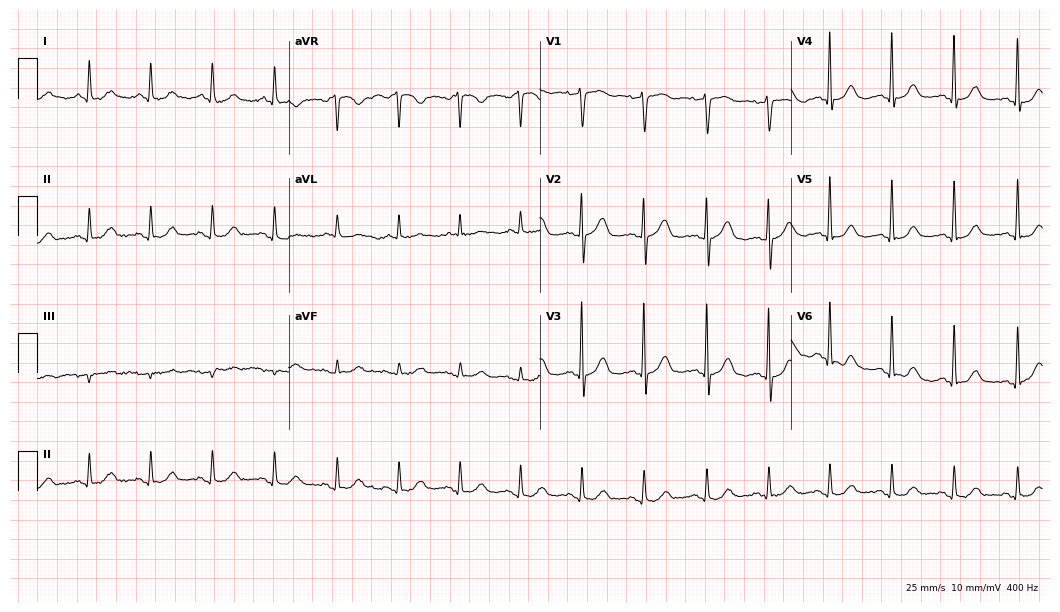
Resting 12-lead electrocardiogram. Patient: a 76-year-old female. Read as a normal ECG.